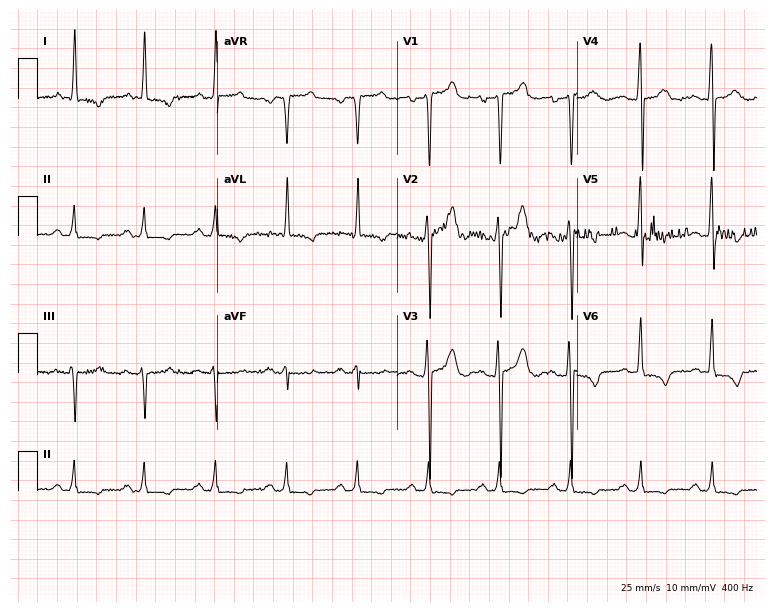
Electrocardiogram, a man, 32 years old. Of the six screened findings (first-degree AV block, right bundle branch block, left bundle branch block, sinus bradycardia, atrial fibrillation, sinus tachycardia), none is recorded.